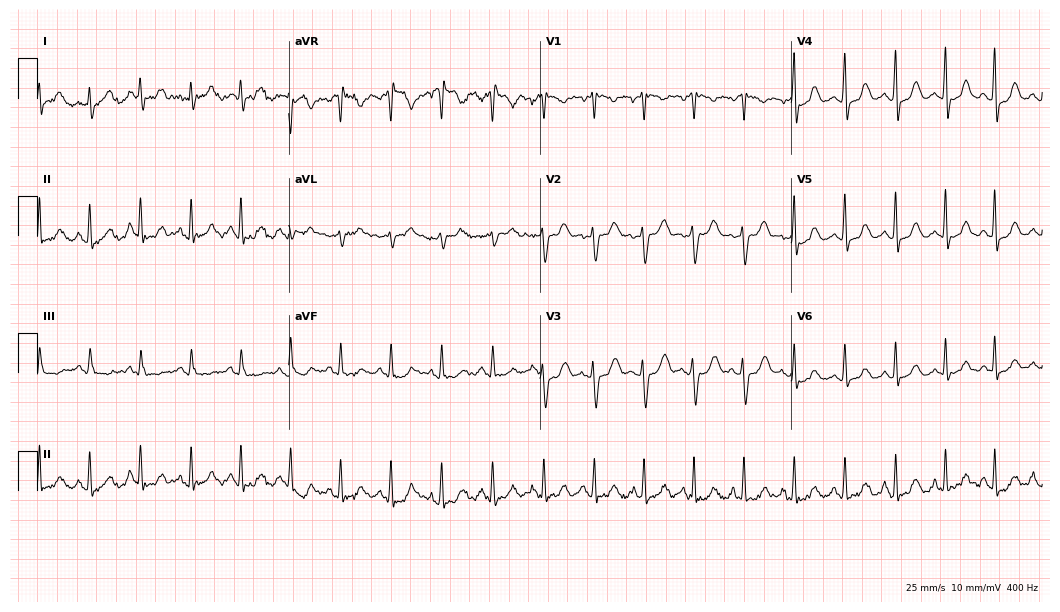
12-lead ECG (10.2-second recording at 400 Hz) from a 41-year-old woman. Findings include sinus tachycardia (a sinus rate of 100 beats per minute or more).